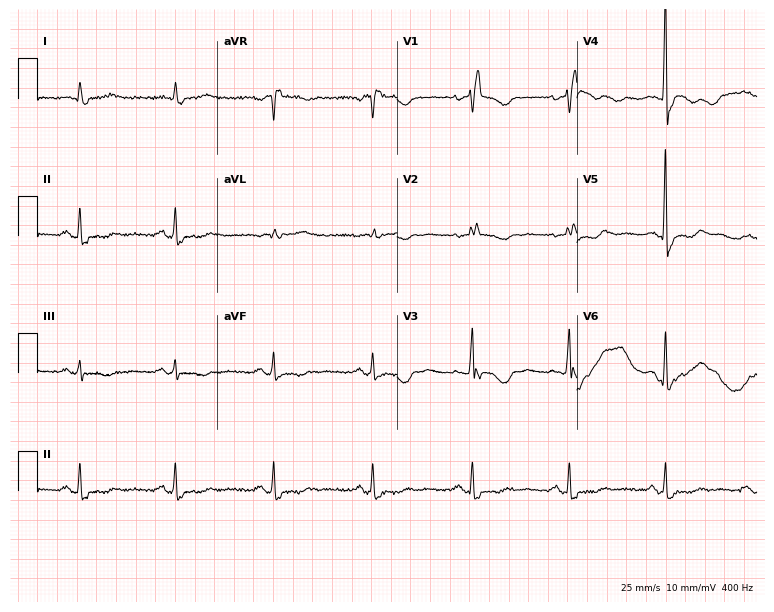
Electrocardiogram, a woman, 66 years old. Interpretation includes right bundle branch block.